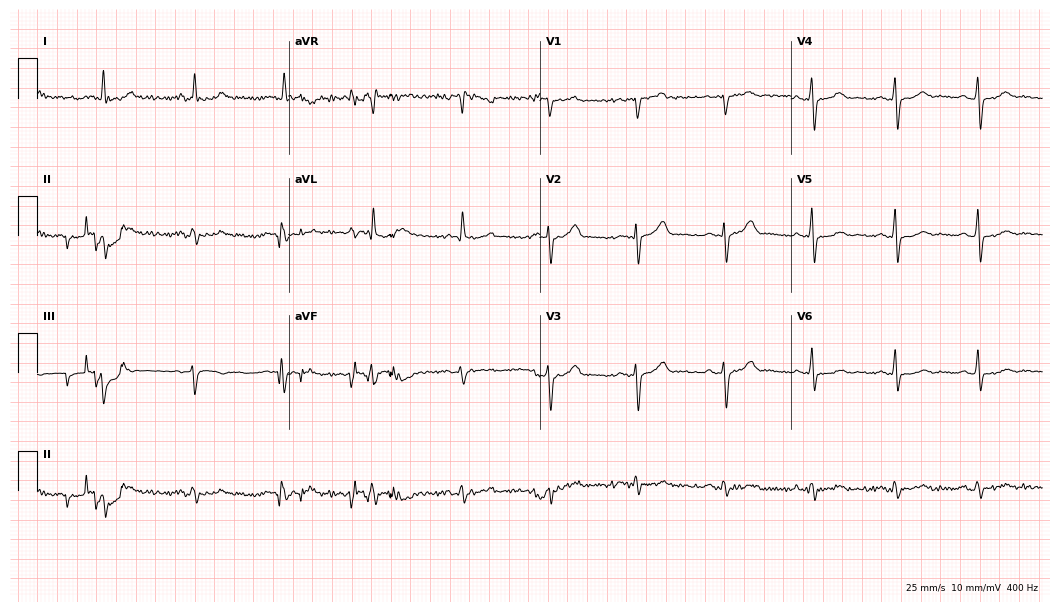
12-lead ECG from a 72-year-old male patient (10.2-second recording at 400 Hz). No first-degree AV block, right bundle branch block, left bundle branch block, sinus bradycardia, atrial fibrillation or sinus tachycardia recorded for this tracing.